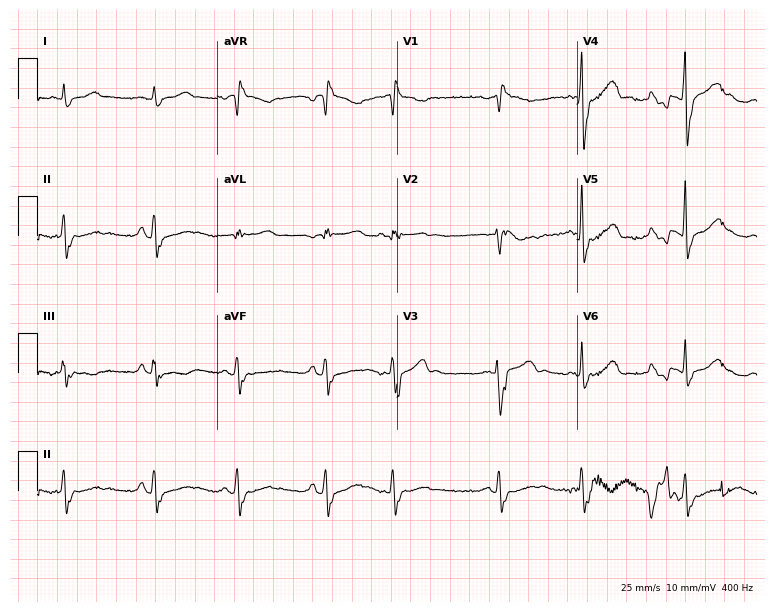
12-lead ECG from a man, 39 years old. No first-degree AV block, right bundle branch block, left bundle branch block, sinus bradycardia, atrial fibrillation or sinus tachycardia recorded for this tracing.